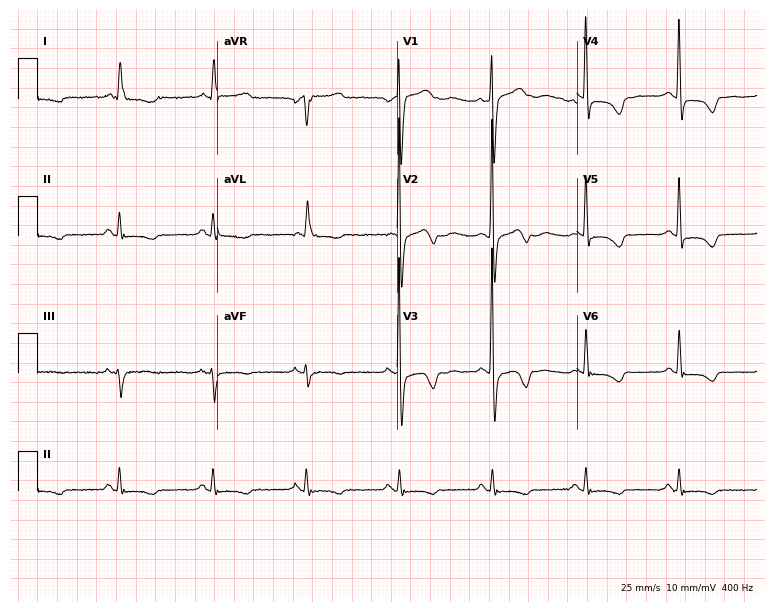
Standard 12-lead ECG recorded from a 77-year-old woman. None of these six findings is recorded: first-degree AV block, right bundle branch block, left bundle branch block, sinus bradycardia, atrial fibrillation, sinus tachycardia.